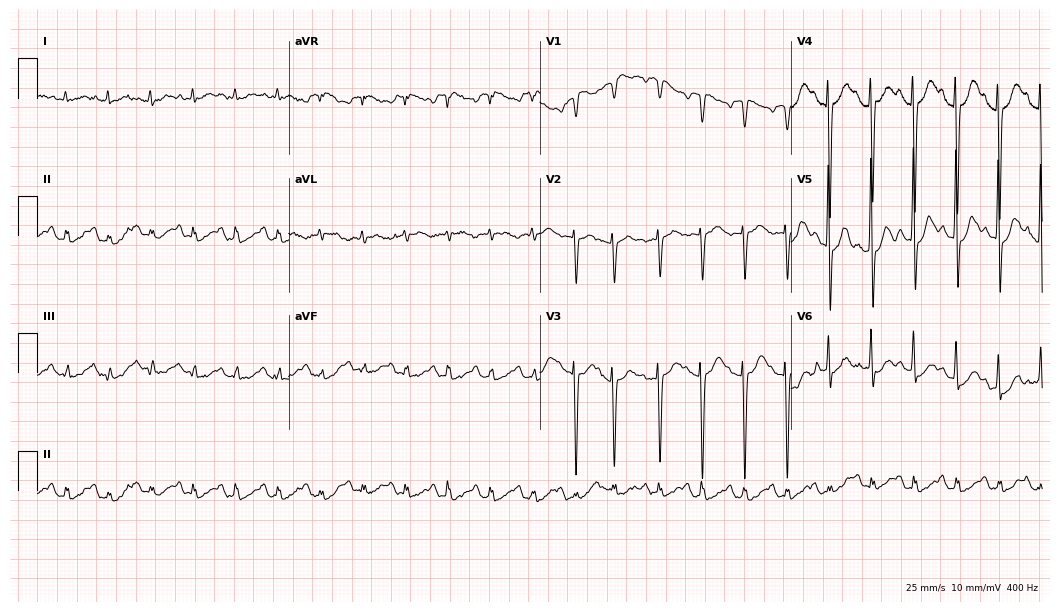
Electrocardiogram, an 82-year-old female patient. Interpretation includes sinus tachycardia (a sinus rate of 100 beats per minute or more).